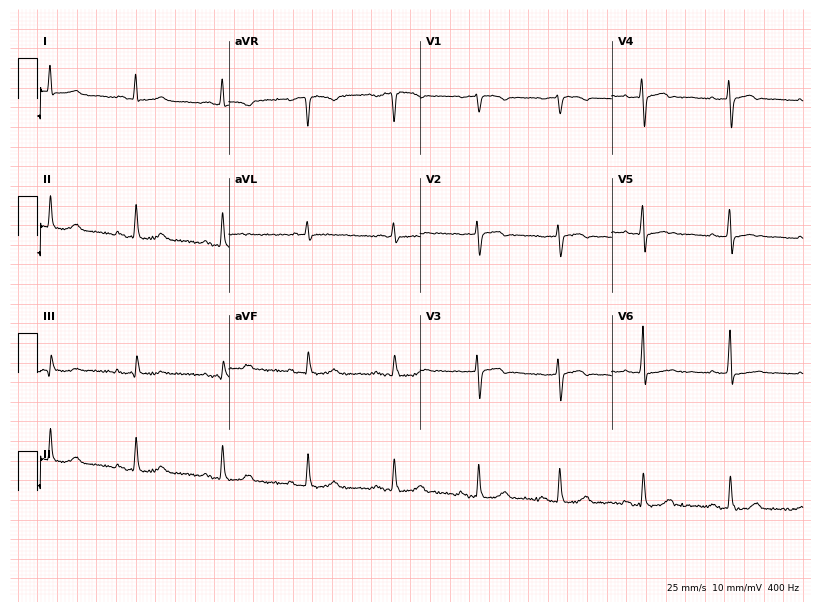
Resting 12-lead electrocardiogram. Patient: a woman, 60 years old. None of these six findings is recorded: first-degree AV block, right bundle branch block, left bundle branch block, sinus bradycardia, atrial fibrillation, sinus tachycardia. Findings outside these six are not listed.